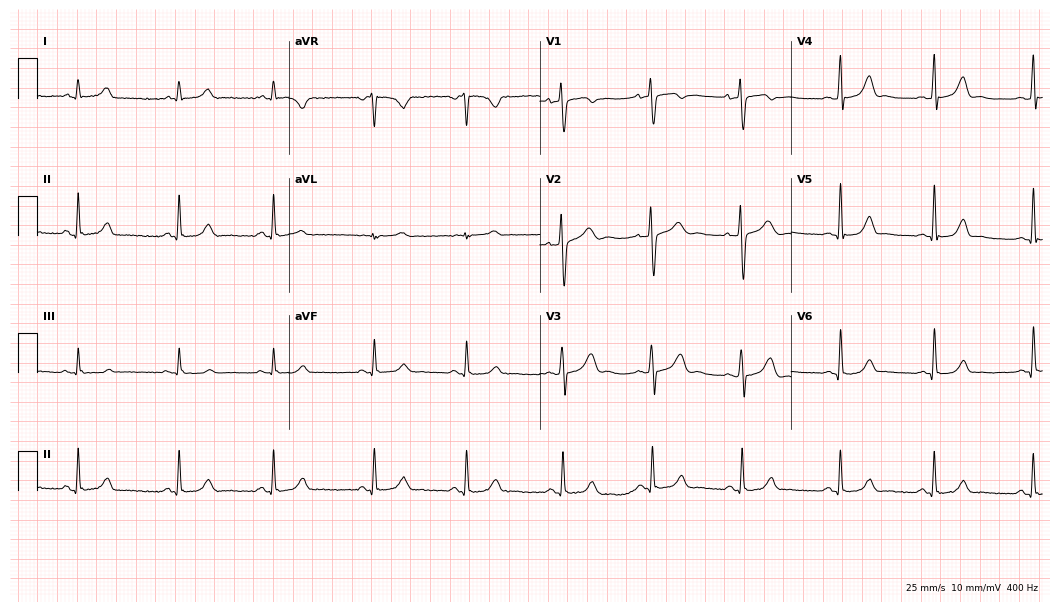
Electrocardiogram, a 29-year-old female patient. Overall reading on record: normal ECG.